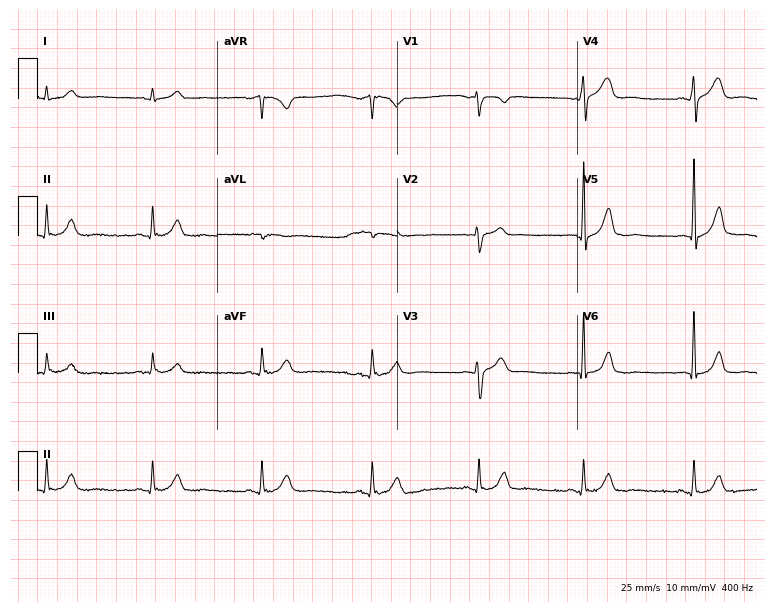
12-lead ECG from a 54-year-old male (7.3-second recording at 400 Hz). Recorded interpretation: within normal limits.